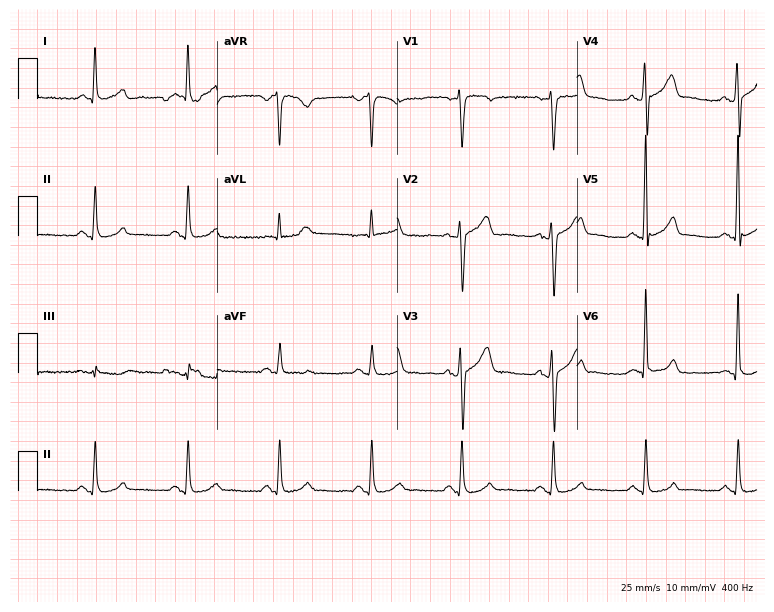
Standard 12-lead ECG recorded from a 43-year-old man (7.3-second recording at 400 Hz). Read as a normal ECG.